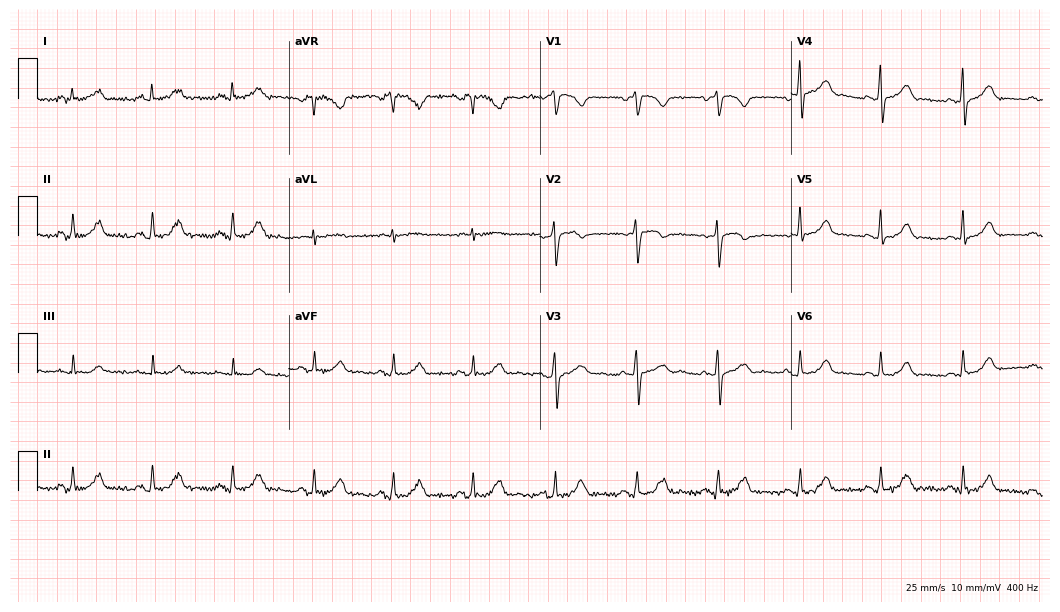
Electrocardiogram (10.2-second recording at 400 Hz), a 49-year-old female. Of the six screened findings (first-degree AV block, right bundle branch block, left bundle branch block, sinus bradycardia, atrial fibrillation, sinus tachycardia), none is recorded.